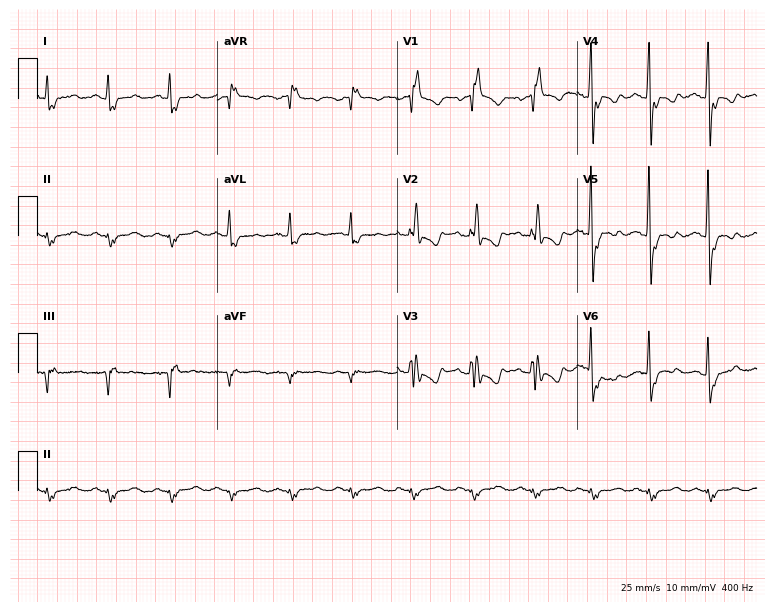
12-lead ECG (7.3-second recording at 400 Hz) from an 82-year-old male. Screened for six findings — first-degree AV block, right bundle branch block, left bundle branch block, sinus bradycardia, atrial fibrillation, sinus tachycardia — none is recorded.